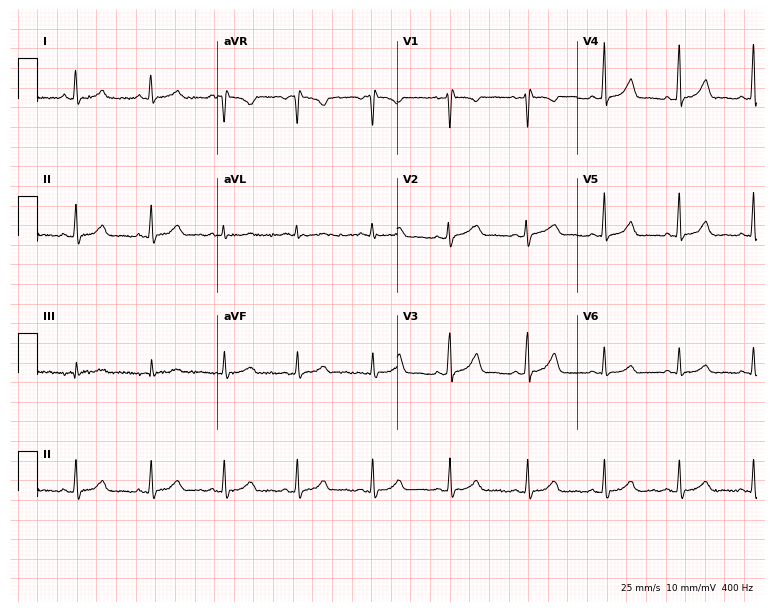
12-lead ECG from a 48-year-old woman. No first-degree AV block, right bundle branch block, left bundle branch block, sinus bradycardia, atrial fibrillation or sinus tachycardia recorded for this tracing.